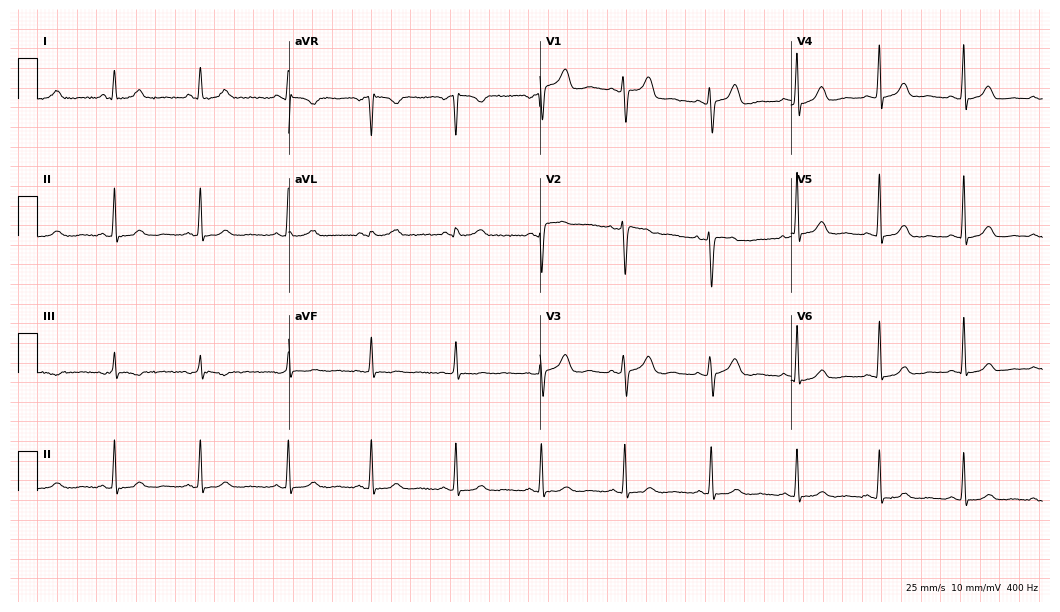
Electrocardiogram, a 41-year-old female patient. Overall reading on record: normal ECG.